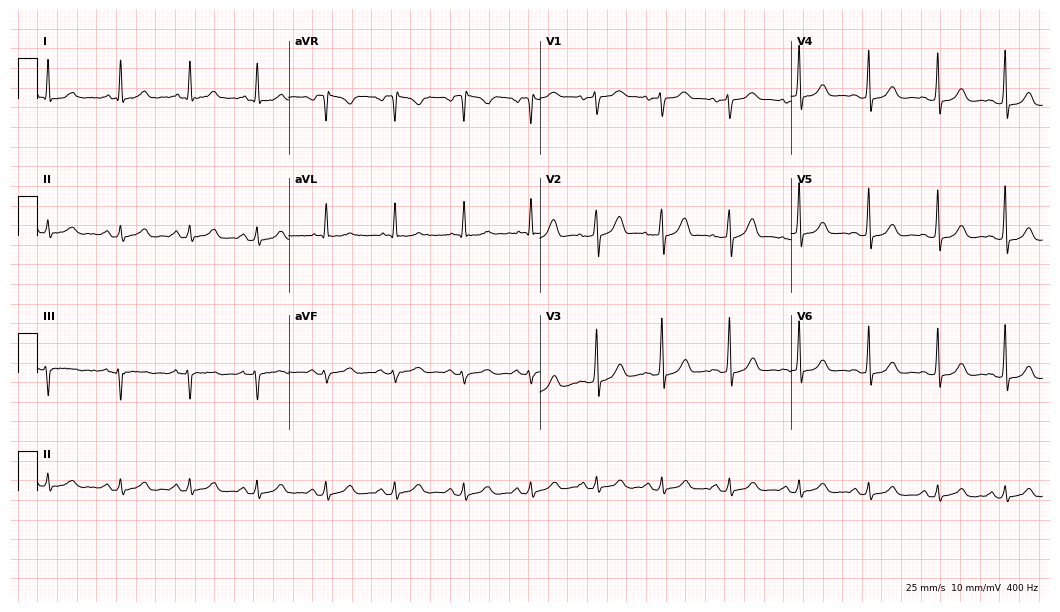
Electrocardiogram, a 51-year-old female. Overall reading on record: normal ECG.